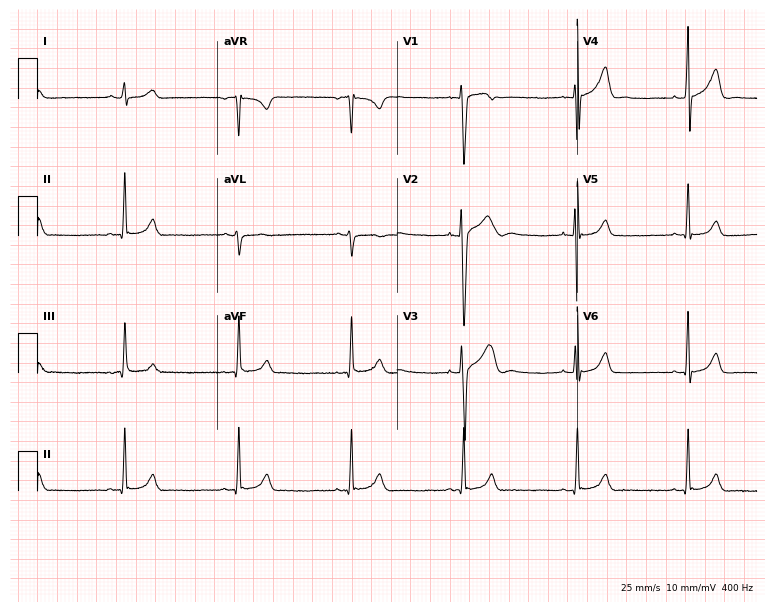
12-lead ECG from a man, 18 years old. Labelled as a normal ECG.